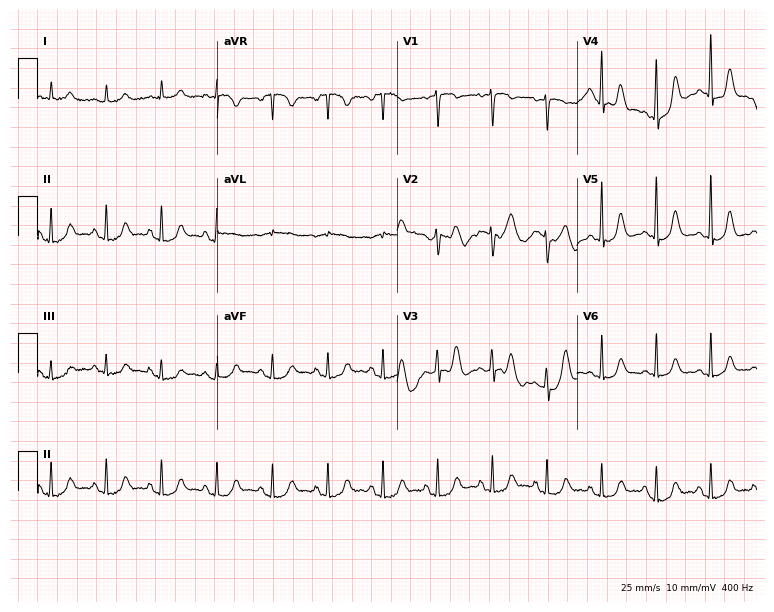
Resting 12-lead electrocardiogram (7.3-second recording at 400 Hz). Patient: a 59-year-old female. The tracing shows sinus tachycardia (a sinus rate of 100 beats per minute or more).